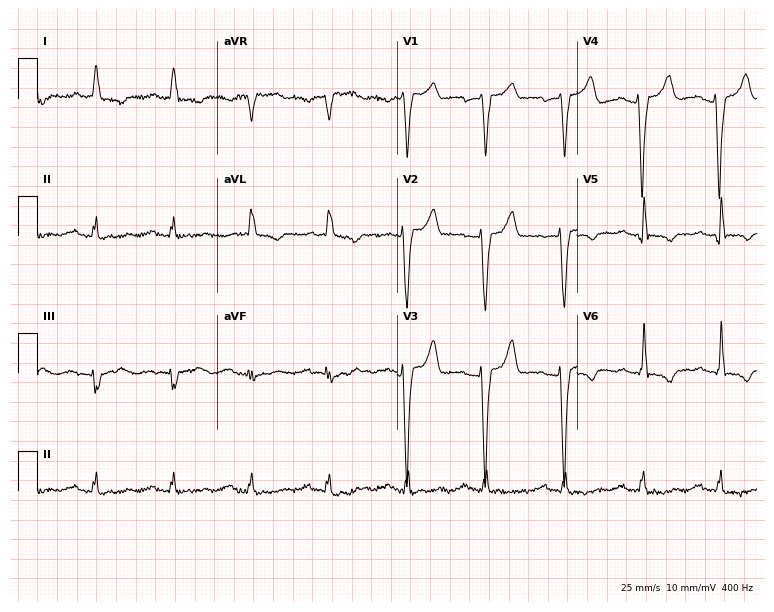
12-lead ECG from a woman, 78 years old. Shows first-degree AV block.